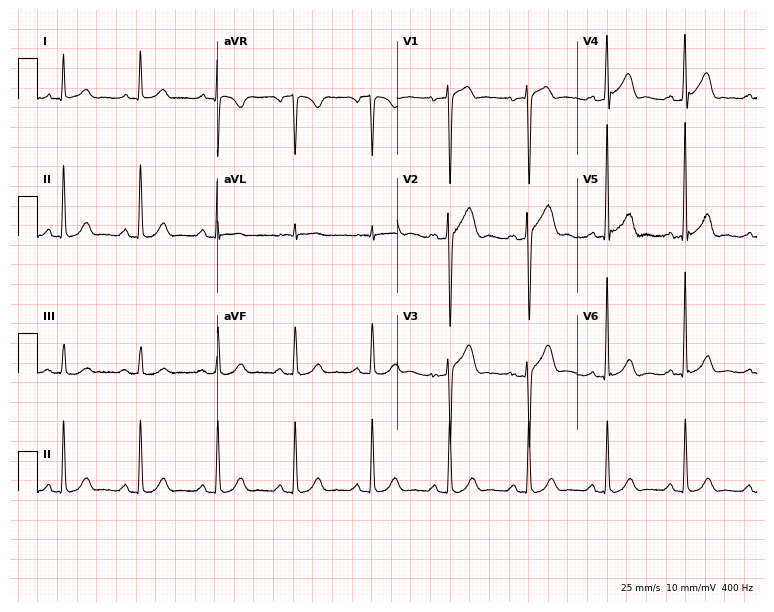
Standard 12-lead ECG recorded from a man, 61 years old. None of these six findings is recorded: first-degree AV block, right bundle branch block (RBBB), left bundle branch block (LBBB), sinus bradycardia, atrial fibrillation (AF), sinus tachycardia. Only these six findings were labelled.